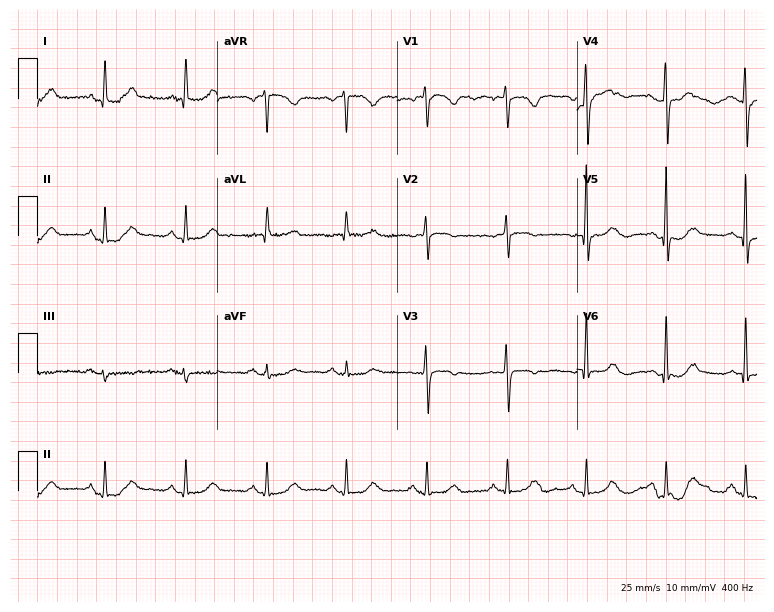
Electrocardiogram, a woman, 81 years old. Overall reading on record: normal ECG.